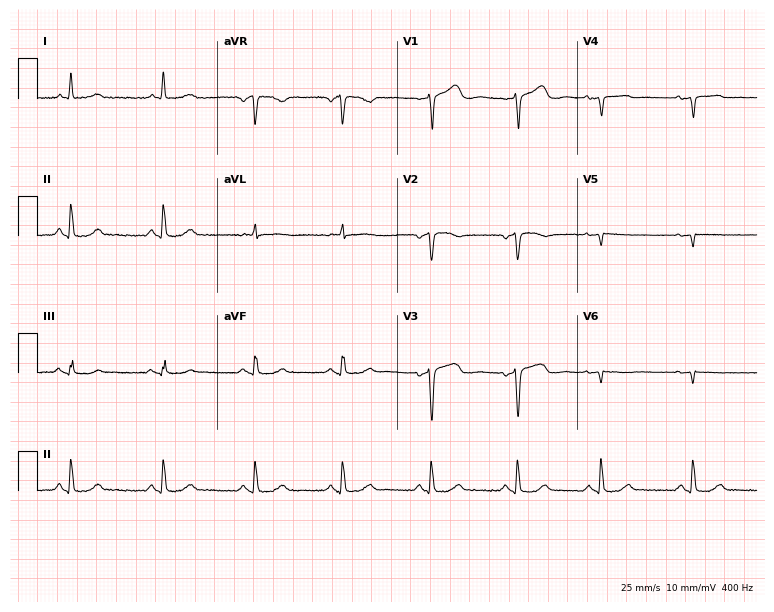
Electrocardiogram, a 67-year-old woman. Of the six screened findings (first-degree AV block, right bundle branch block (RBBB), left bundle branch block (LBBB), sinus bradycardia, atrial fibrillation (AF), sinus tachycardia), none is recorded. Other findings, if any, are not listed.